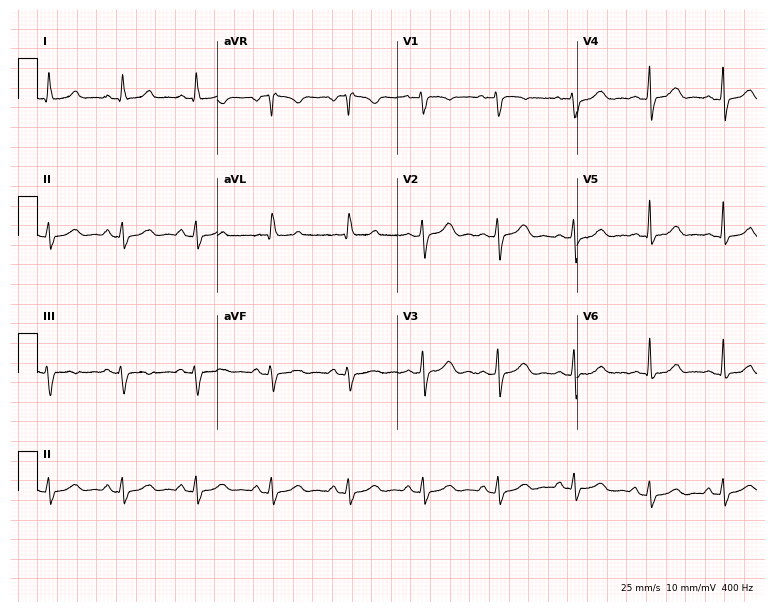
Resting 12-lead electrocardiogram. Patient: a 46-year-old female. None of these six findings is recorded: first-degree AV block, right bundle branch block (RBBB), left bundle branch block (LBBB), sinus bradycardia, atrial fibrillation (AF), sinus tachycardia. Findings outside these six are not listed.